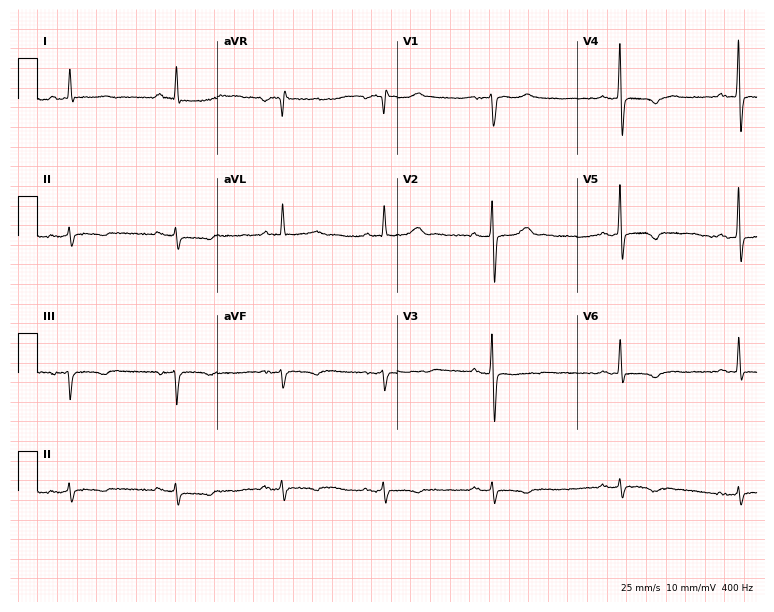
12-lead ECG from a 73-year-old male patient. No first-degree AV block, right bundle branch block (RBBB), left bundle branch block (LBBB), sinus bradycardia, atrial fibrillation (AF) or sinus tachycardia recorded for this tracing.